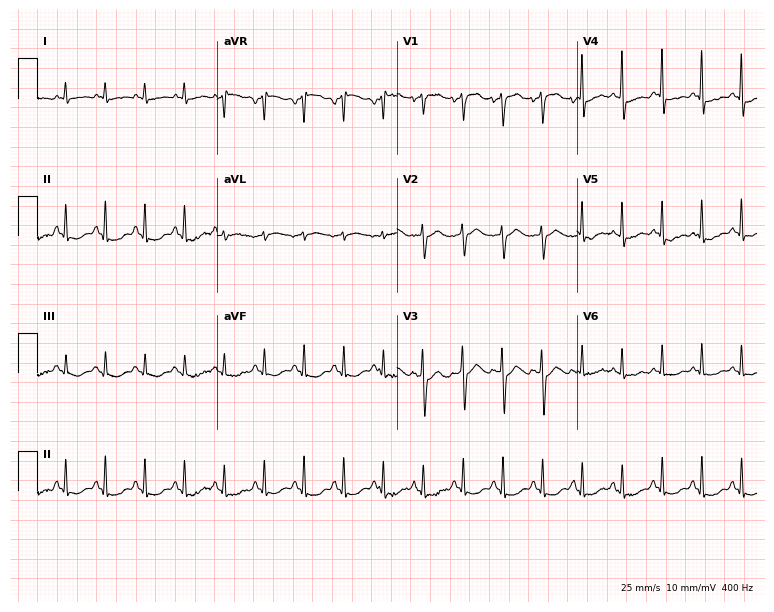
12-lead ECG from a woman, 68 years old. Shows sinus tachycardia (a sinus rate of 100 beats per minute or more).